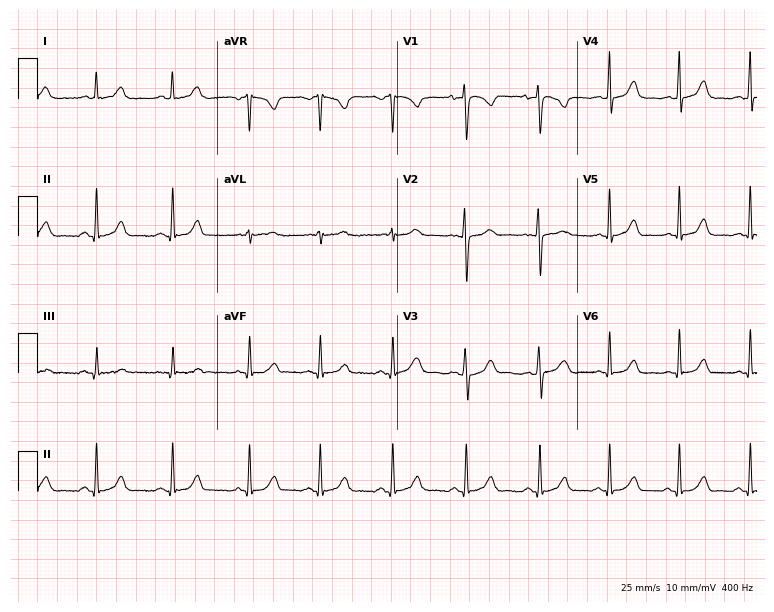
ECG (7.3-second recording at 400 Hz) — a 21-year-old female patient. Screened for six findings — first-degree AV block, right bundle branch block, left bundle branch block, sinus bradycardia, atrial fibrillation, sinus tachycardia — none is recorded.